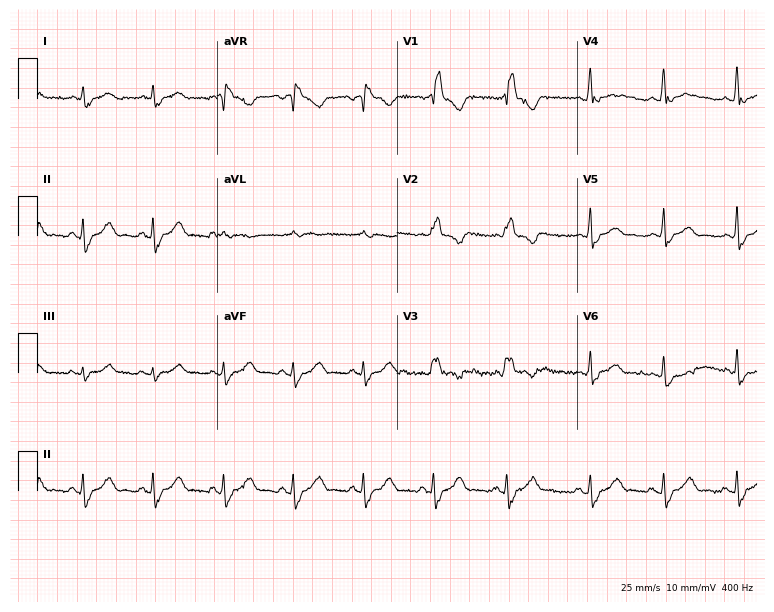
12-lead ECG from a 66-year-old male (7.3-second recording at 400 Hz). Shows right bundle branch block.